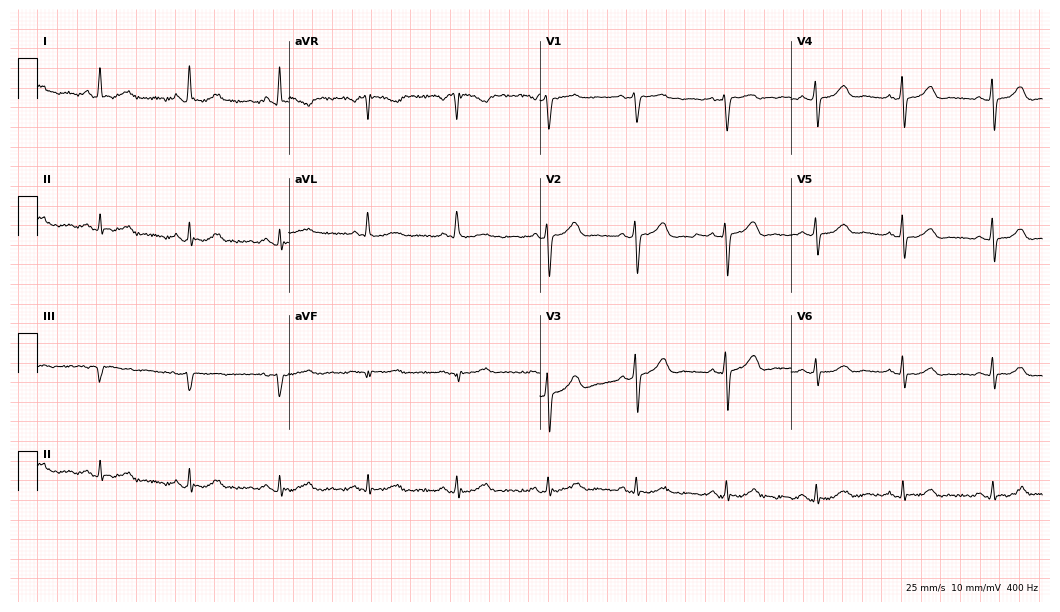
Electrocardiogram, an 80-year-old woman. Overall reading on record: normal ECG.